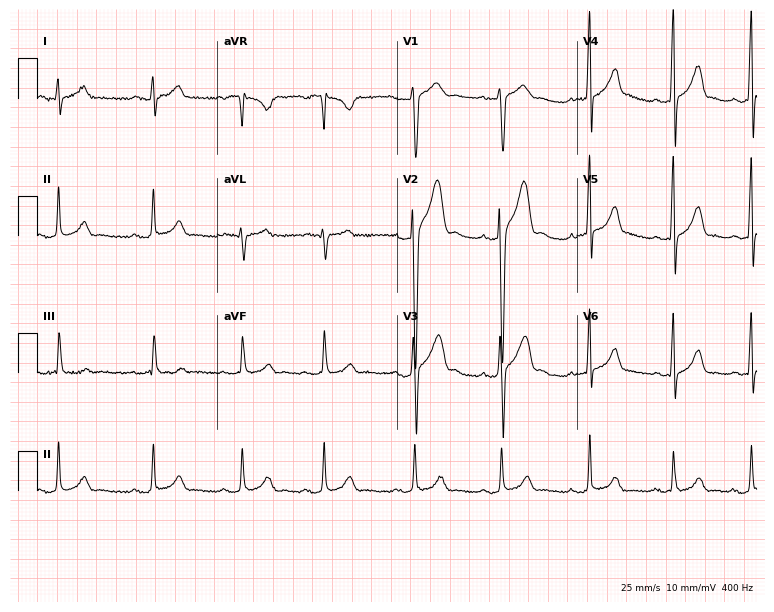
Resting 12-lead electrocardiogram. Patient: a man, 18 years old. Read as a normal ECG.